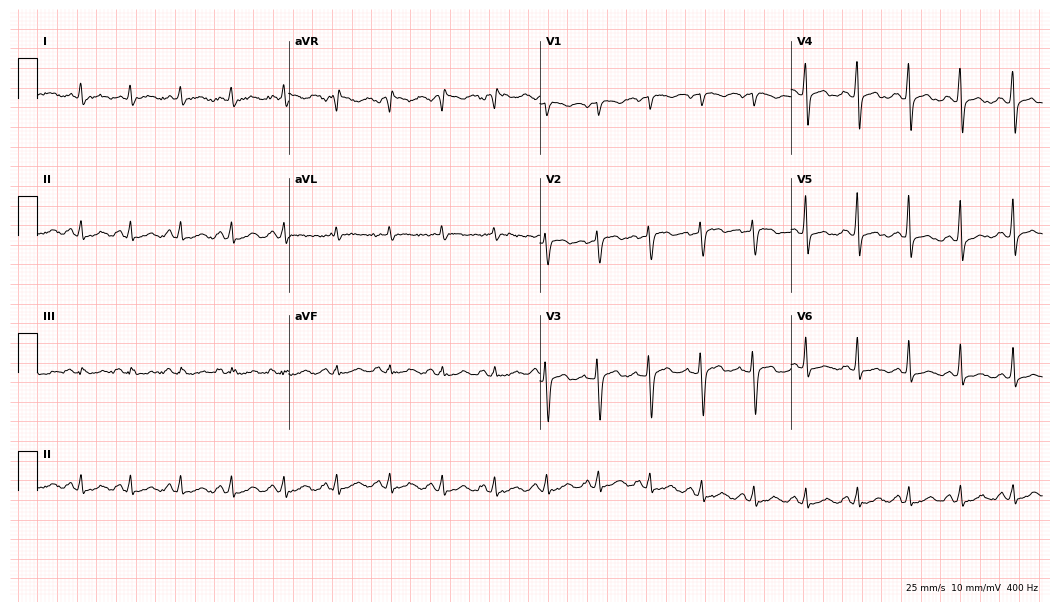
Resting 12-lead electrocardiogram. Patient: a 53-year-old female. The tracing shows sinus tachycardia (a sinus rate of 100 beats per minute or more).